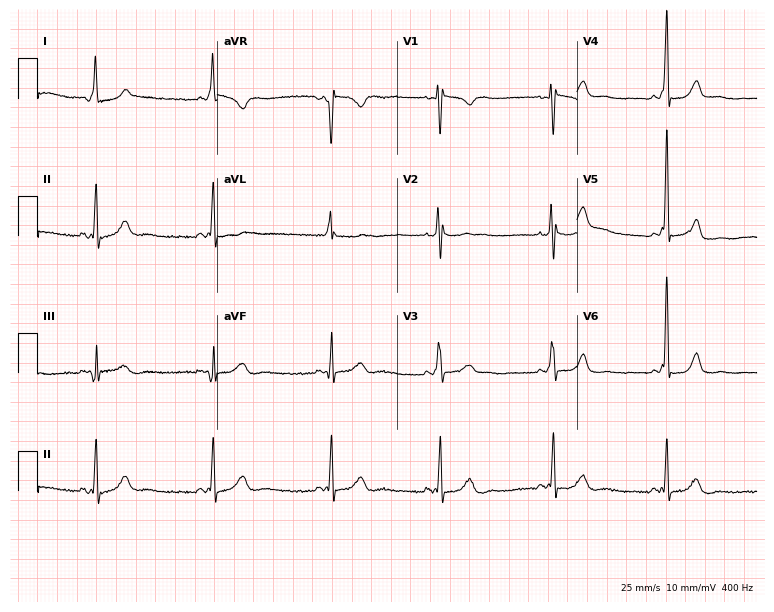
Standard 12-lead ECG recorded from a female patient, 36 years old. None of these six findings is recorded: first-degree AV block, right bundle branch block, left bundle branch block, sinus bradycardia, atrial fibrillation, sinus tachycardia.